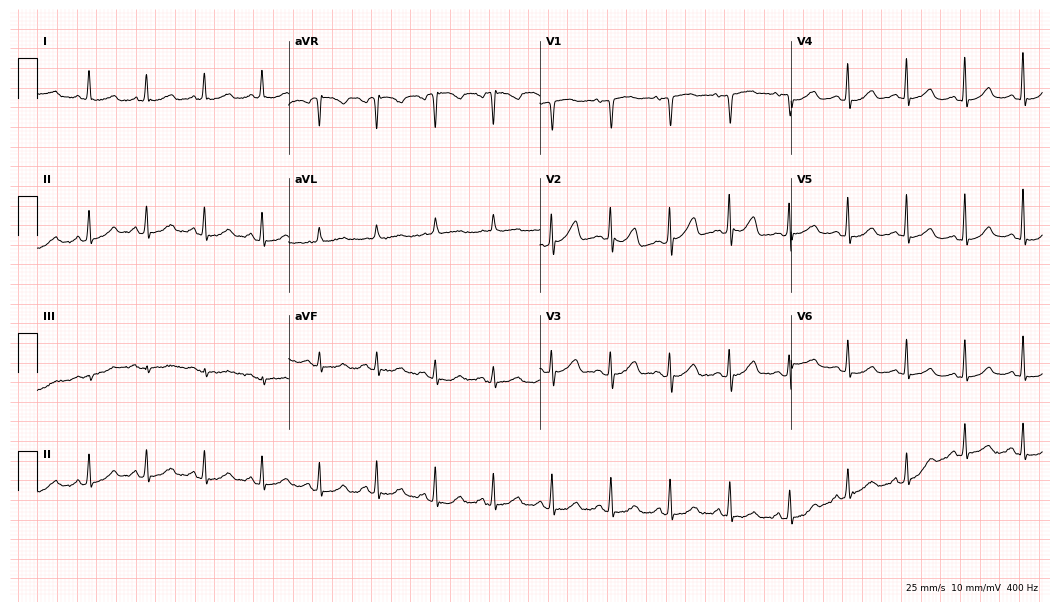
Electrocardiogram, a 79-year-old female. Overall reading on record: normal ECG.